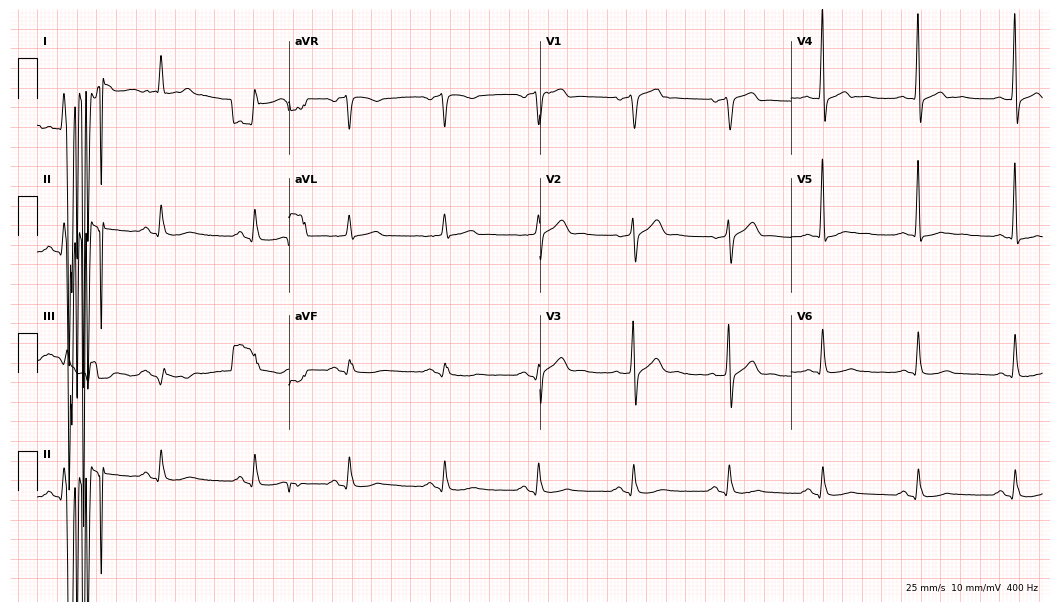
Standard 12-lead ECG recorded from a 67-year-old male (10.2-second recording at 400 Hz). None of these six findings is recorded: first-degree AV block, right bundle branch block, left bundle branch block, sinus bradycardia, atrial fibrillation, sinus tachycardia.